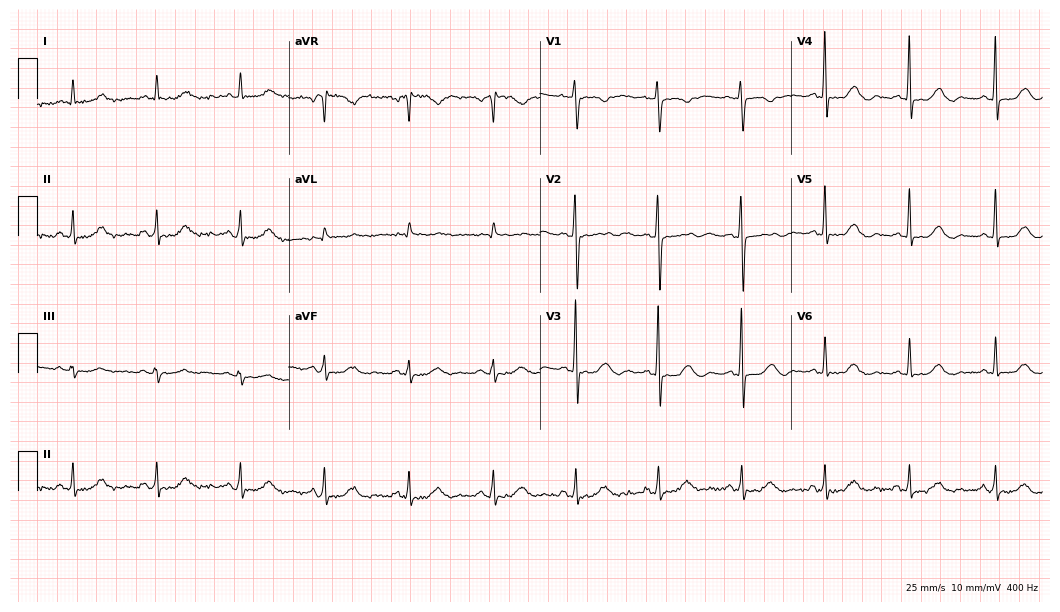
12-lead ECG from a 62-year-old woman. No first-degree AV block, right bundle branch block (RBBB), left bundle branch block (LBBB), sinus bradycardia, atrial fibrillation (AF) or sinus tachycardia recorded for this tracing. Only these six findings were labelled.